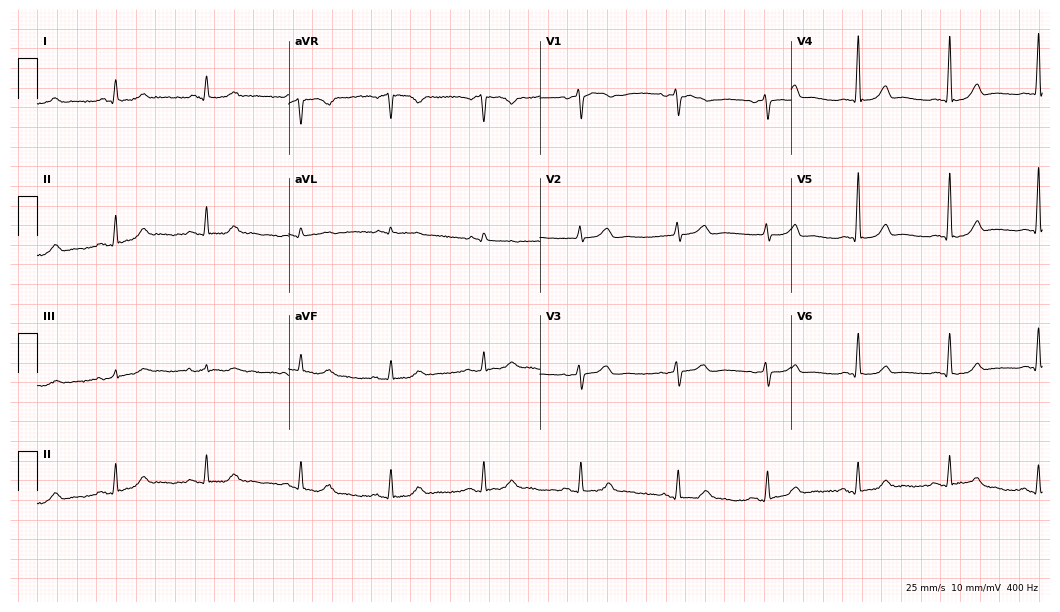
Electrocardiogram (10.2-second recording at 400 Hz), a 45-year-old woman. Overall reading on record: normal ECG.